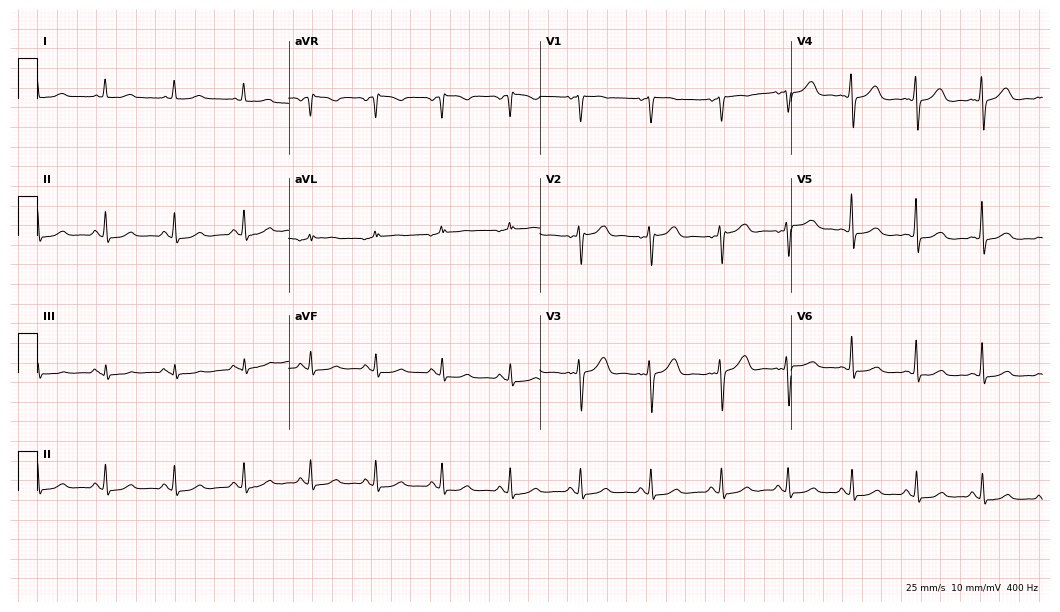
12-lead ECG (10.2-second recording at 400 Hz) from a 40-year-old woman. Labelled as a normal ECG.